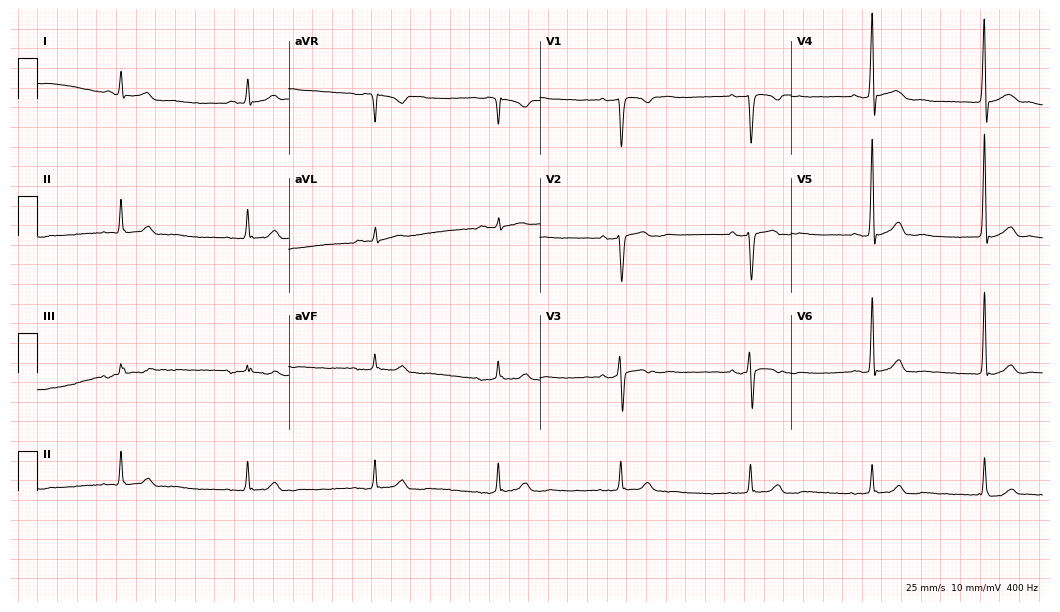
12-lead ECG from a 56-year-old male patient. No first-degree AV block, right bundle branch block, left bundle branch block, sinus bradycardia, atrial fibrillation or sinus tachycardia recorded for this tracing. Findings outside these six are not listed.